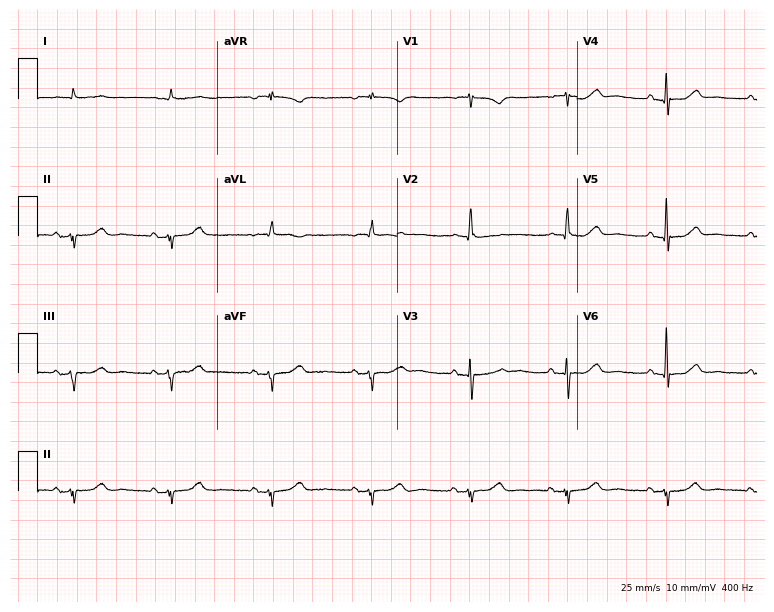
ECG — a female, 80 years old. Screened for six findings — first-degree AV block, right bundle branch block, left bundle branch block, sinus bradycardia, atrial fibrillation, sinus tachycardia — none is recorded.